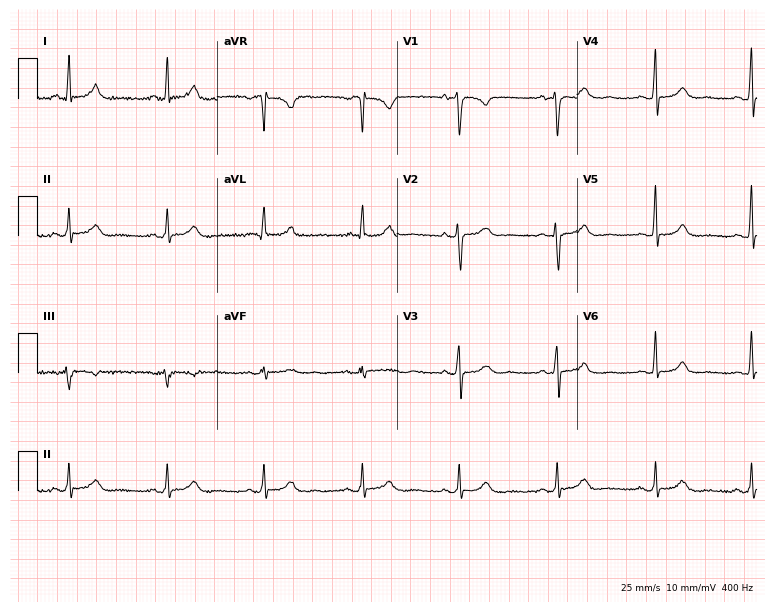
12-lead ECG from a 69-year-old woman. Labelled as a normal ECG.